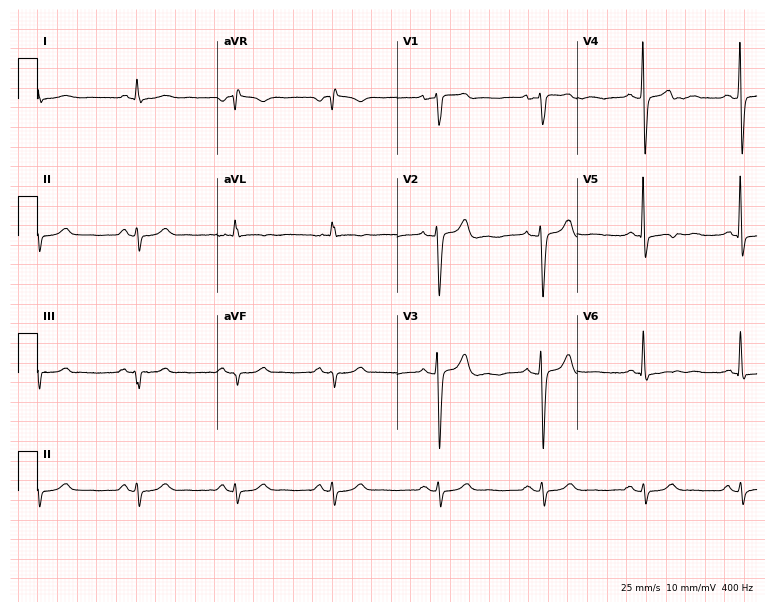
Resting 12-lead electrocardiogram (7.3-second recording at 400 Hz). Patient: a man, 81 years old. None of these six findings is recorded: first-degree AV block, right bundle branch block, left bundle branch block, sinus bradycardia, atrial fibrillation, sinus tachycardia.